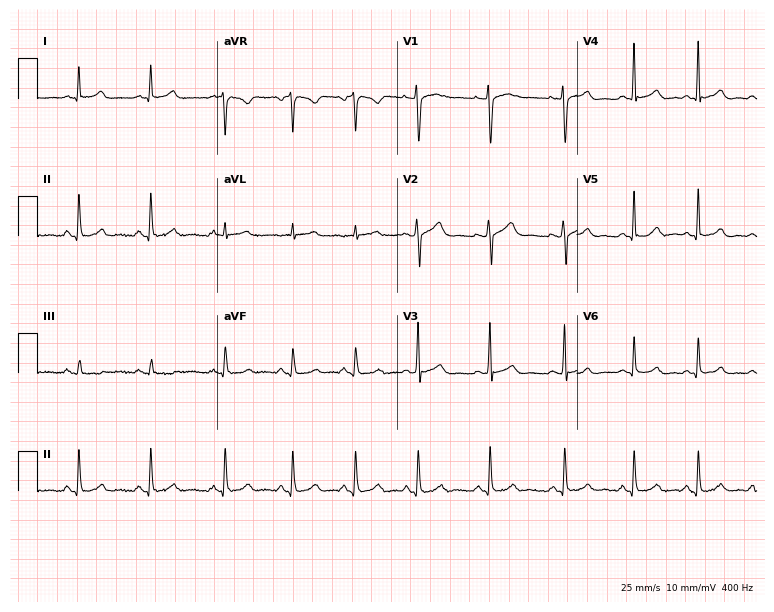
12-lead ECG from a woman, 25 years old. Labelled as a normal ECG.